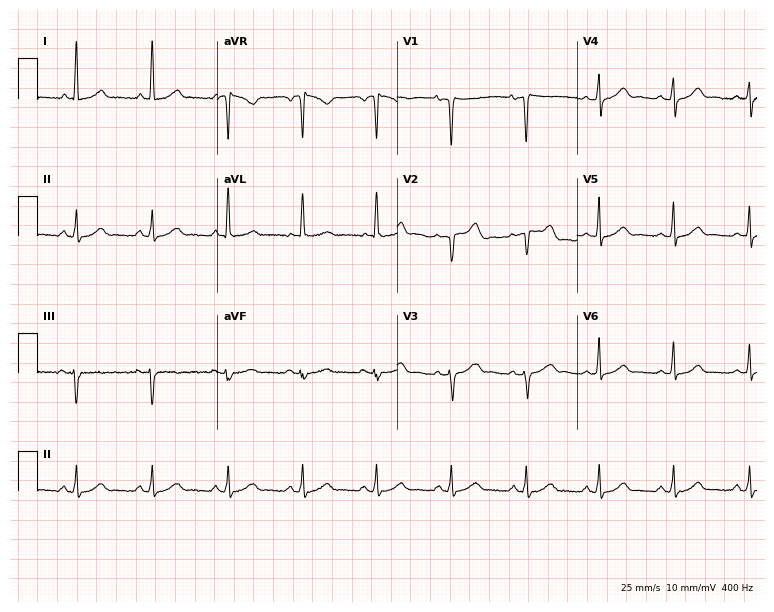
Electrocardiogram, a female, 48 years old. Overall reading on record: normal ECG.